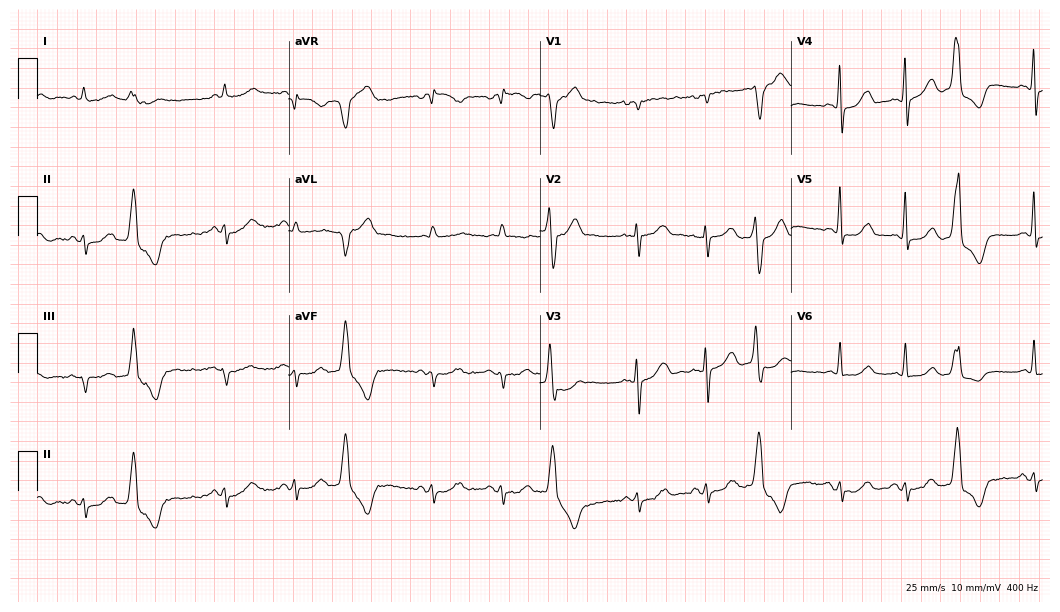
12-lead ECG from an 82-year-old man. No first-degree AV block, right bundle branch block, left bundle branch block, sinus bradycardia, atrial fibrillation or sinus tachycardia recorded for this tracing.